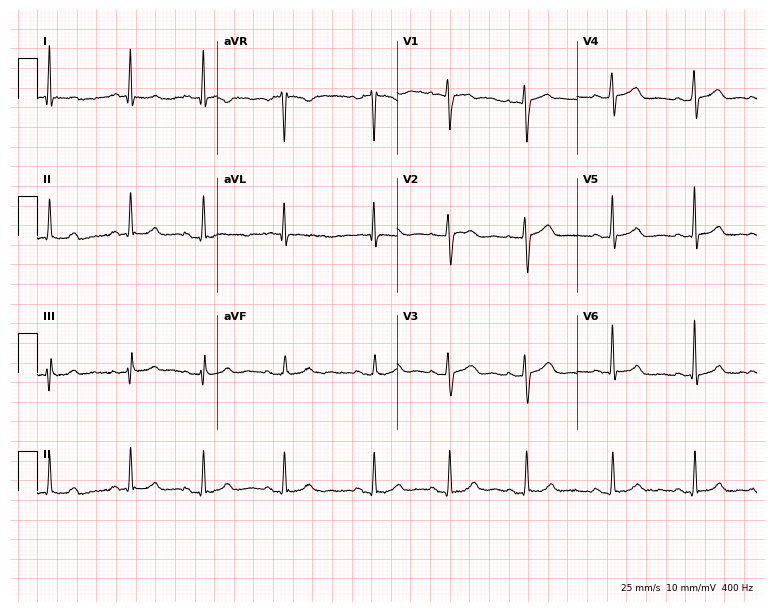
Standard 12-lead ECG recorded from a female, 36 years old. Read as a normal ECG.